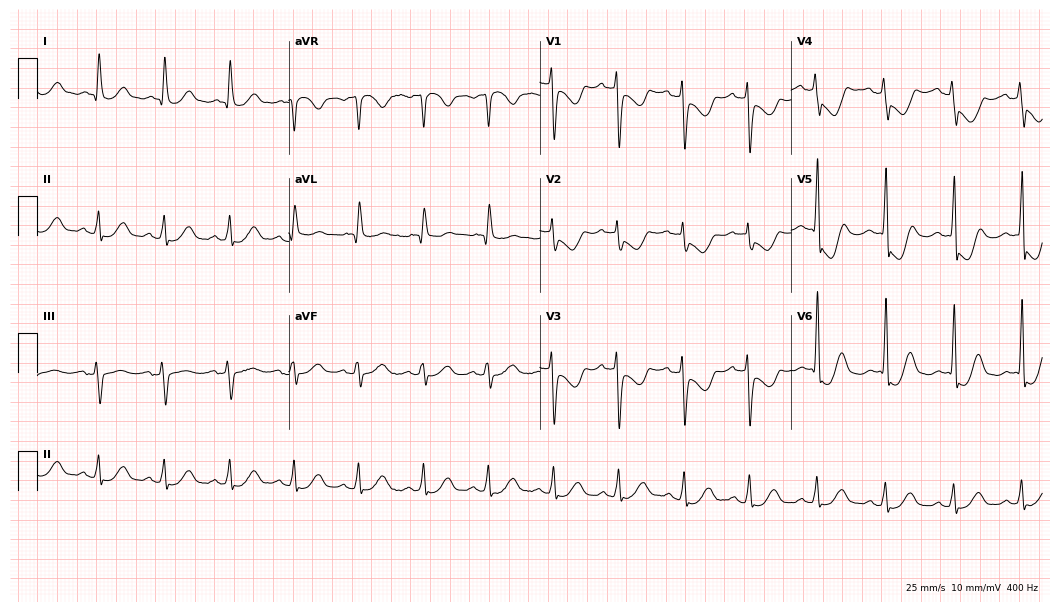
12-lead ECG from a female, 76 years old (10.2-second recording at 400 Hz). No first-degree AV block, right bundle branch block (RBBB), left bundle branch block (LBBB), sinus bradycardia, atrial fibrillation (AF) or sinus tachycardia recorded for this tracing.